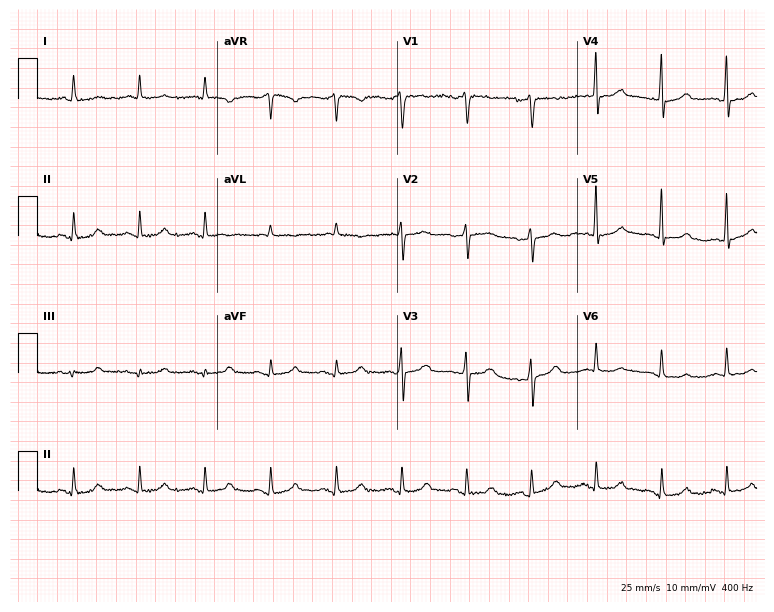
Electrocardiogram, a man, 74 years old. Of the six screened findings (first-degree AV block, right bundle branch block (RBBB), left bundle branch block (LBBB), sinus bradycardia, atrial fibrillation (AF), sinus tachycardia), none is recorded. Other findings, if any, are not listed.